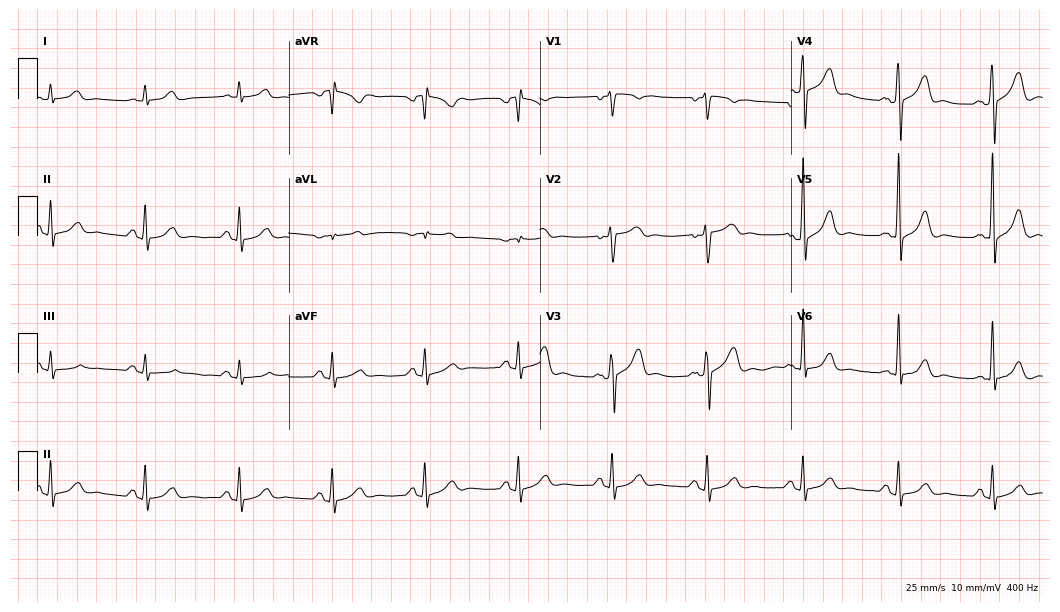
12-lead ECG from a 56-year-old male. Recorded interpretation: within normal limits.